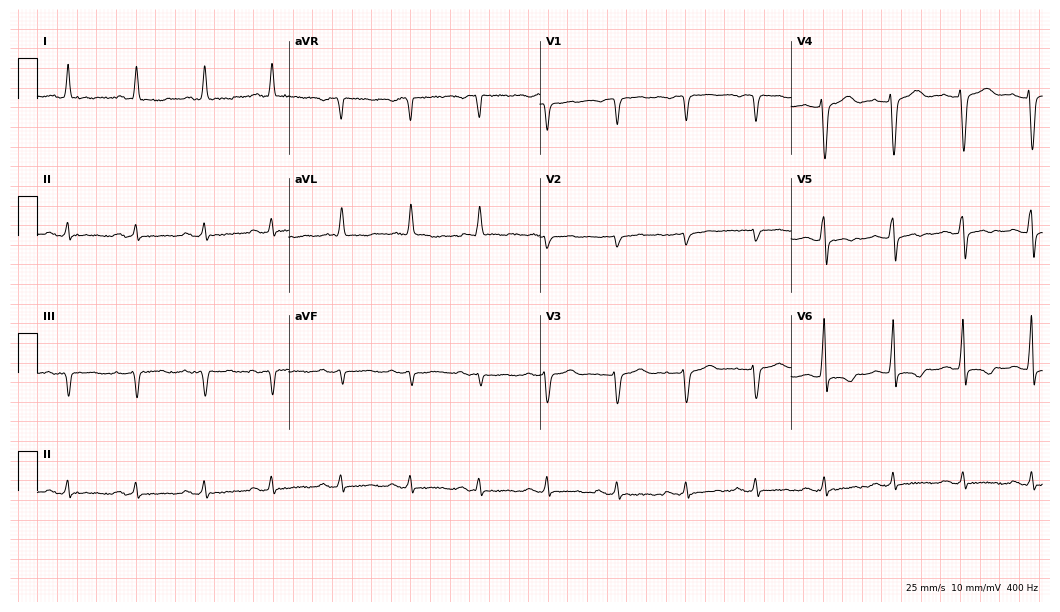
12-lead ECG from a 66-year-old female (10.2-second recording at 400 Hz). No first-degree AV block, right bundle branch block, left bundle branch block, sinus bradycardia, atrial fibrillation or sinus tachycardia recorded for this tracing.